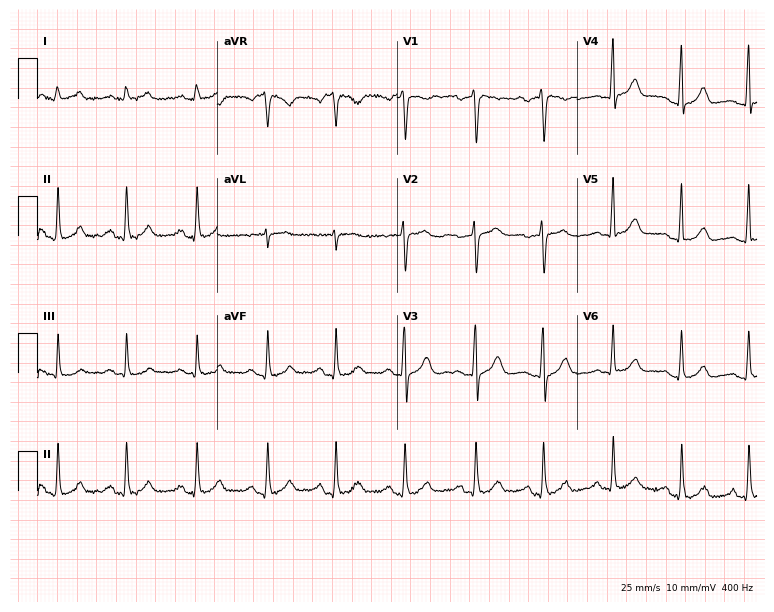
12-lead ECG from a female patient, 50 years old (7.3-second recording at 400 Hz). Recorded interpretation: within normal limits.